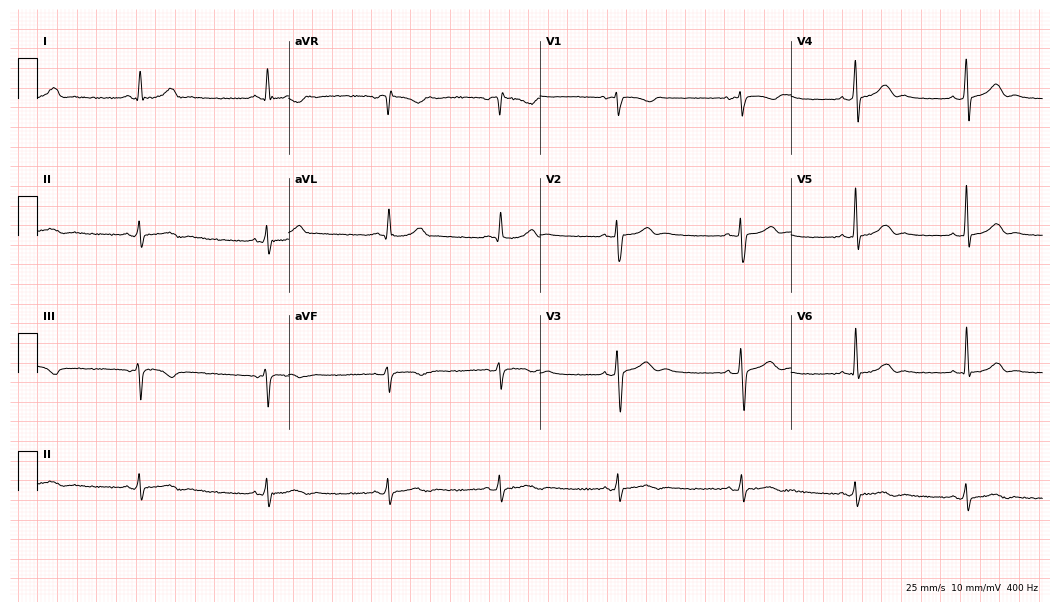
Resting 12-lead electrocardiogram. Patient: a male, 34 years old. None of these six findings is recorded: first-degree AV block, right bundle branch block (RBBB), left bundle branch block (LBBB), sinus bradycardia, atrial fibrillation (AF), sinus tachycardia.